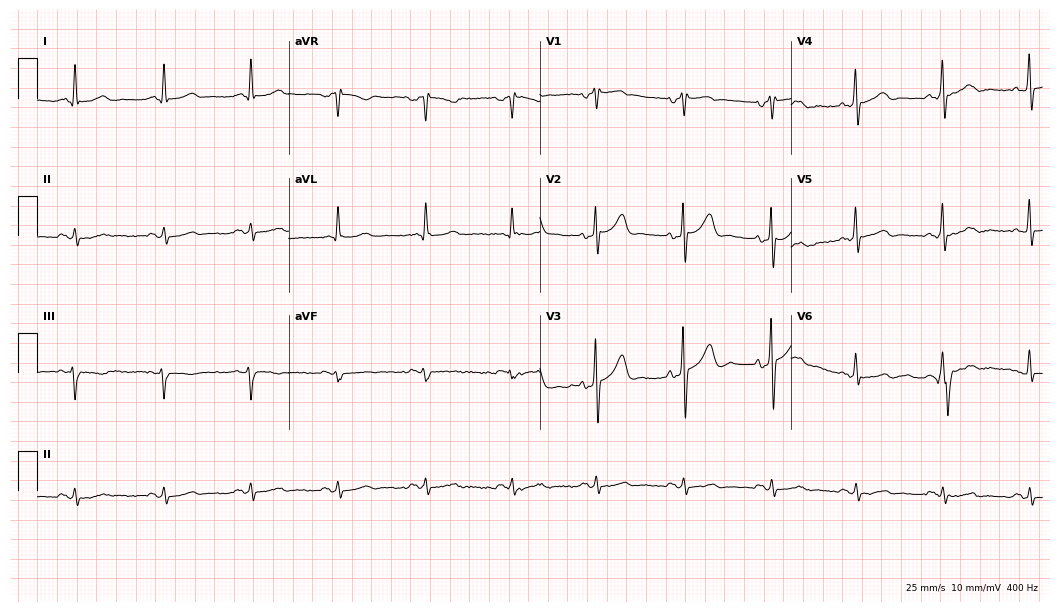
12-lead ECG (10.2-second recording at 400 Hz) from a male patient, 64 years old. Screened for six findings — first-degree AV block, right bundle branch block, left bundle branch block, sinus bradycardia, atrial fibrillation, sinus tachycardia — none is recorded.